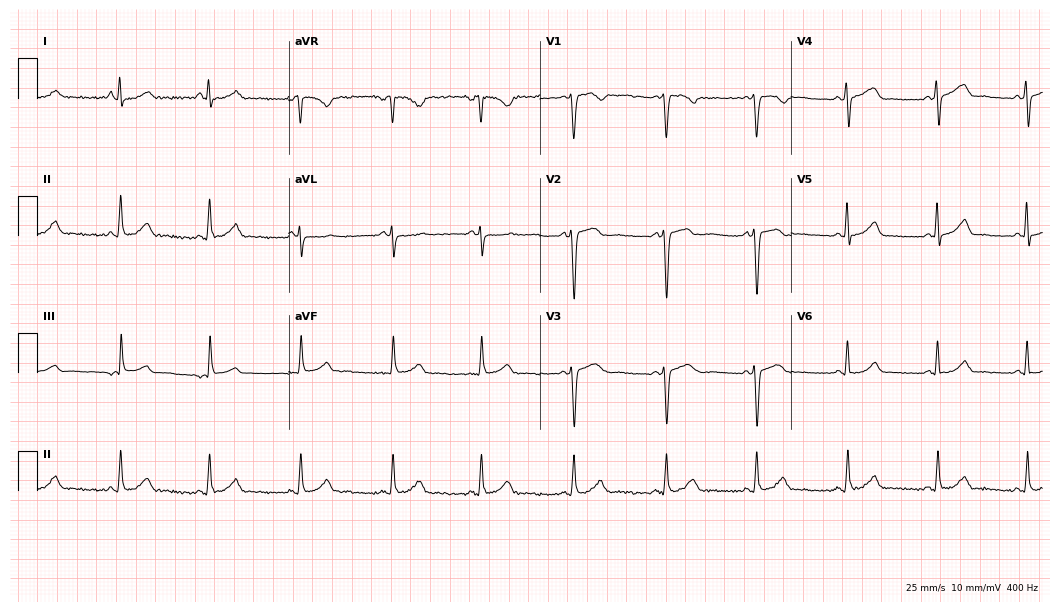
Electrocardiogram, a 42-year-old female. Overall reading on record: normal ECG.